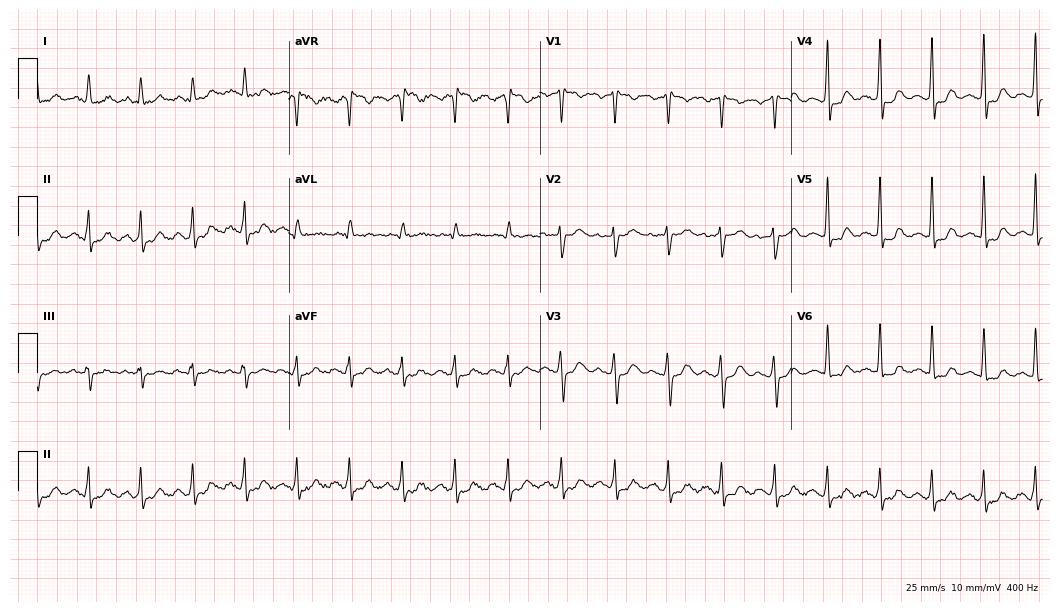
12-lead ECG from a woman, 45 years old (10.2-second recording at 400 Hz). Shows sinus tachycardia (a sinus rate of 100 beats per minute or more).